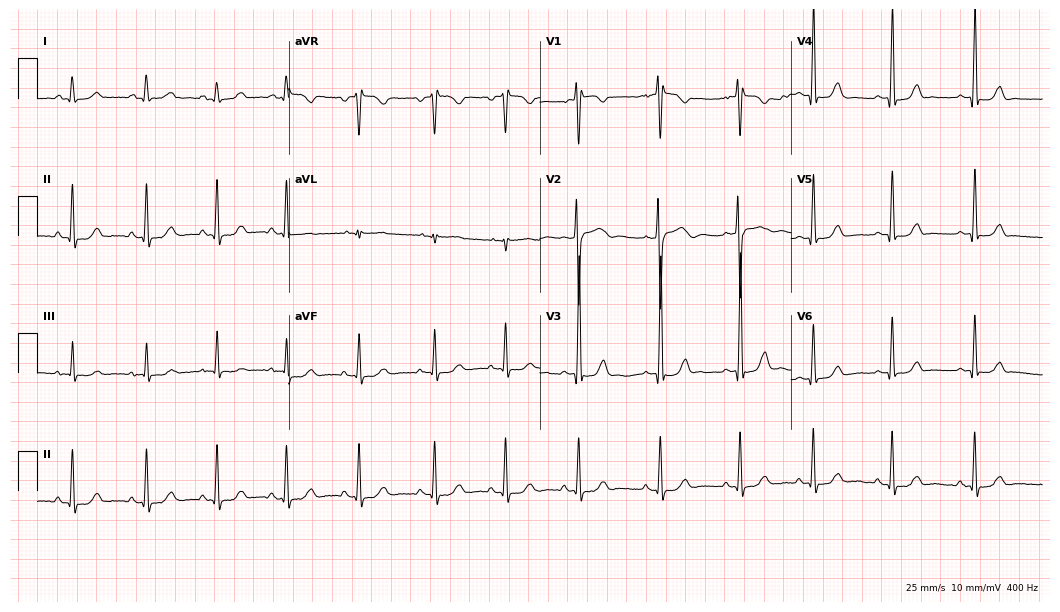
Resting 12-lead electrocardiogram. Patient: a 23-year-old female. Read as a normal ECG.